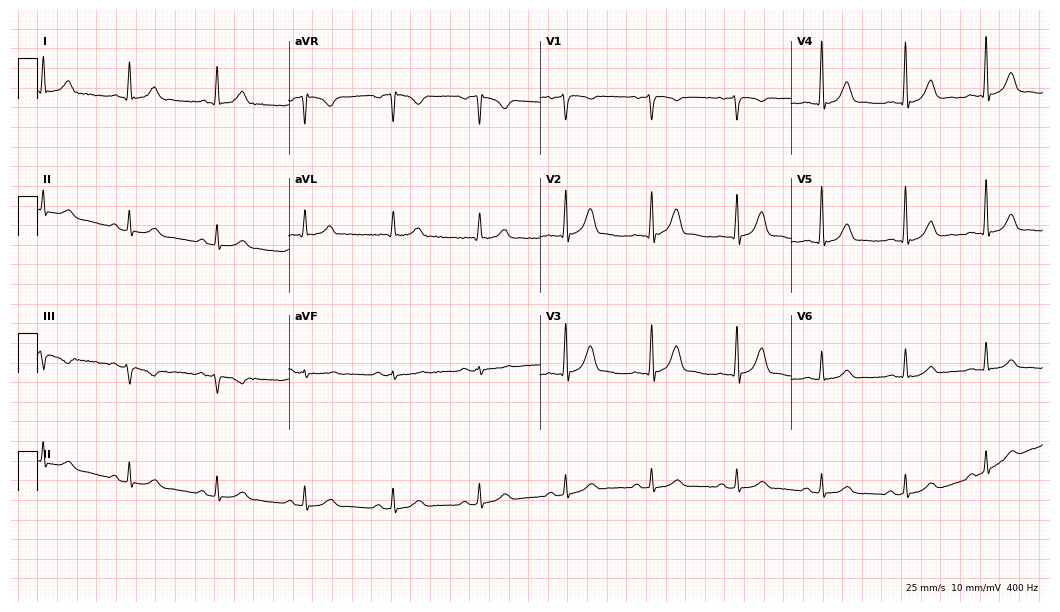
Resting 12-lead electrocardiogram (10.2-second recording at 400 Hz). Patient: a male, 57 years old. Read as a normal ECG.